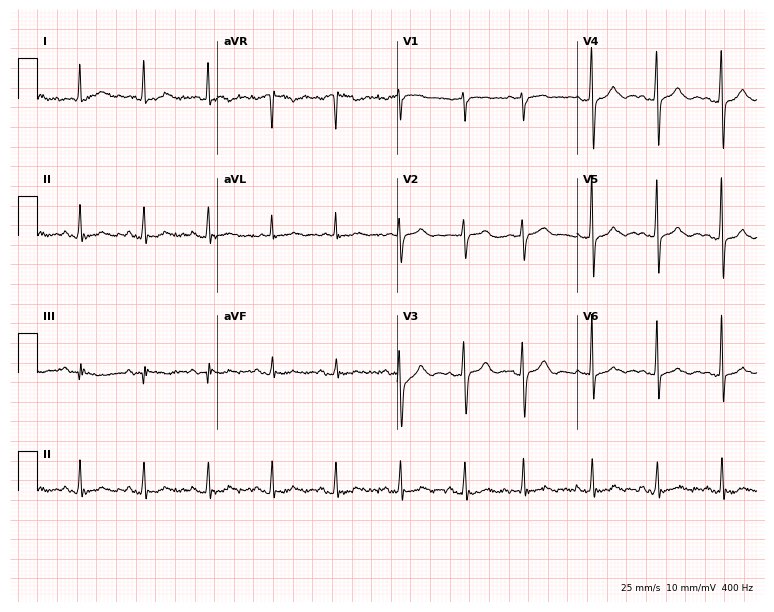
ECG (7.3-second recording at 400 Hz) — a female patient, 63 years old. Screened for six findings — first-degree AV block, right bundle branch block (RBBB), left bundle branch block (LBBB), sinus bradycardia, atrial fibrillation (AF), sinus tachycardia — none is recorded. Only these six findings were labelled.